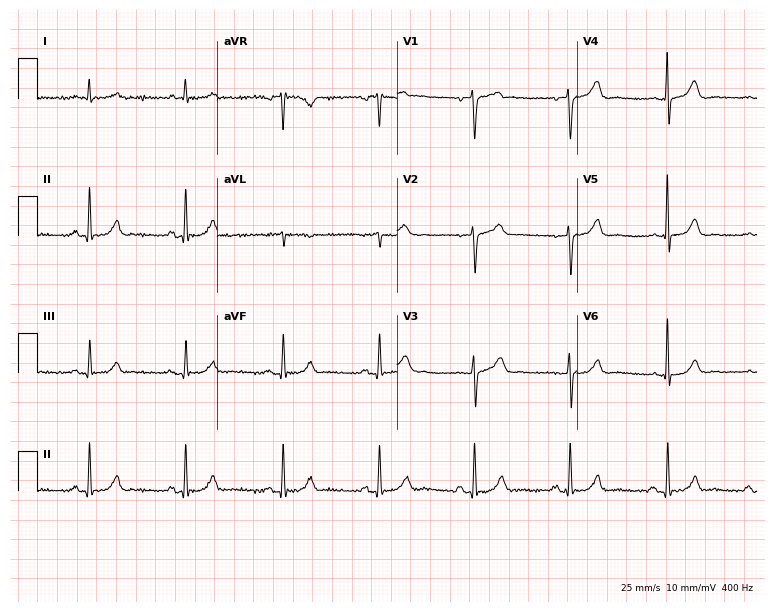
12-lead ECG (7.3-second recording at 400 Hz) from a male, 75 years old. Labelled as a normal ECG.